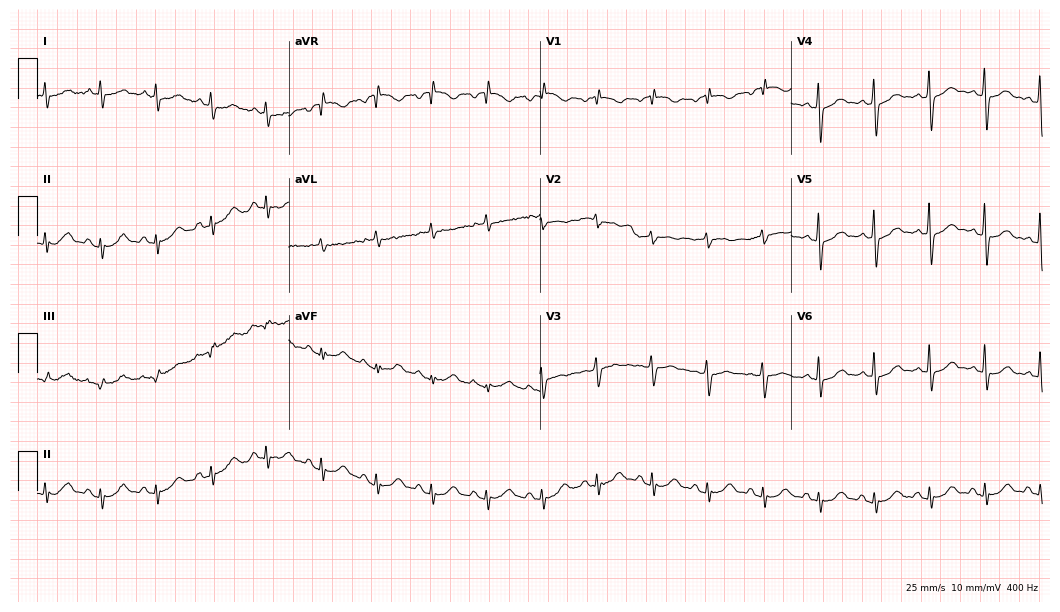
Resting 12-lead electrocardiogram. Patient: a 66-year-old female. The tracing shows sinus tachycardia (a sinus rate of 100 beats per minute or more).